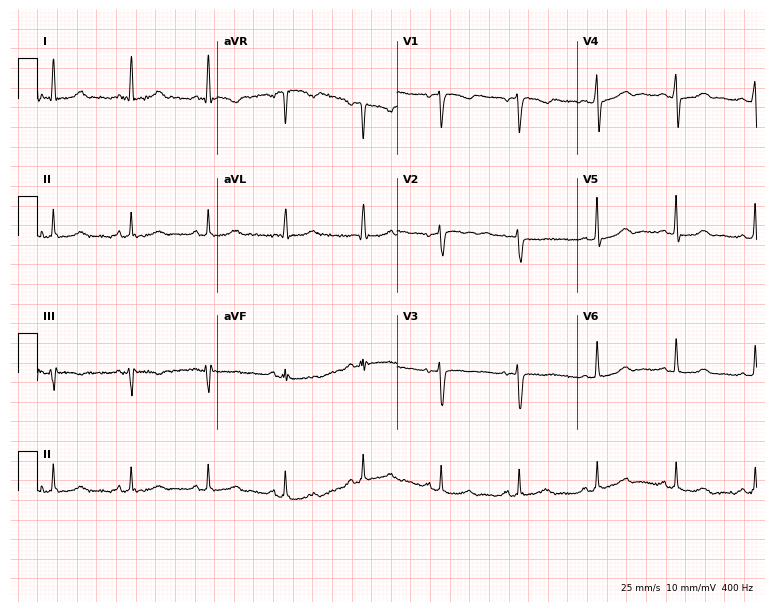
12-lead ECG from a female, 43 years old (7.3-second recording at 400 Hz). Recorded interpretation: within normal limits.